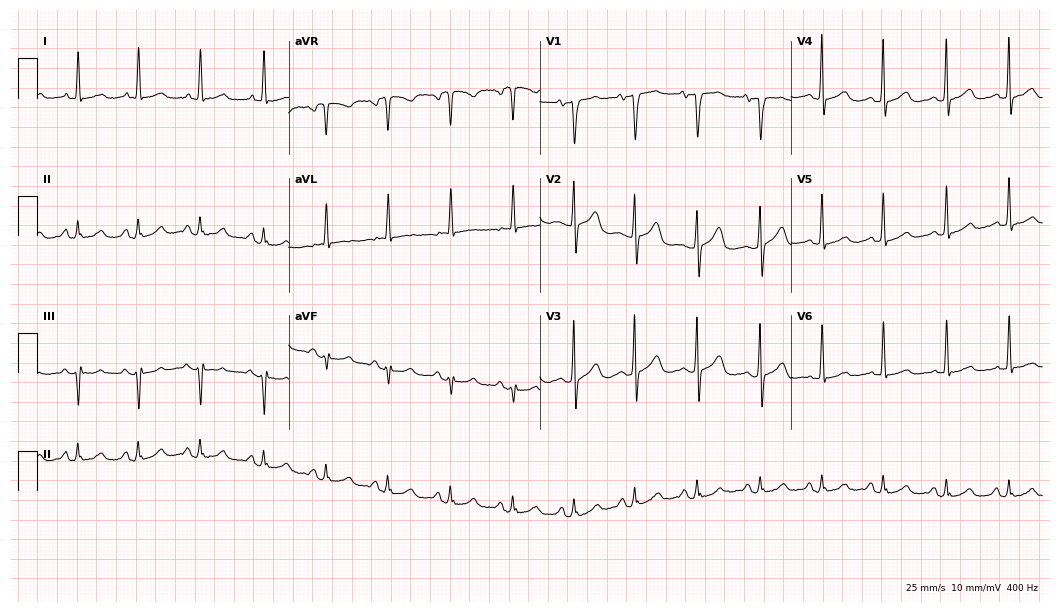
ECG (10.2-second recording at 400 Hz) — a woman, 79 years old. Labelled as a normal ECG.